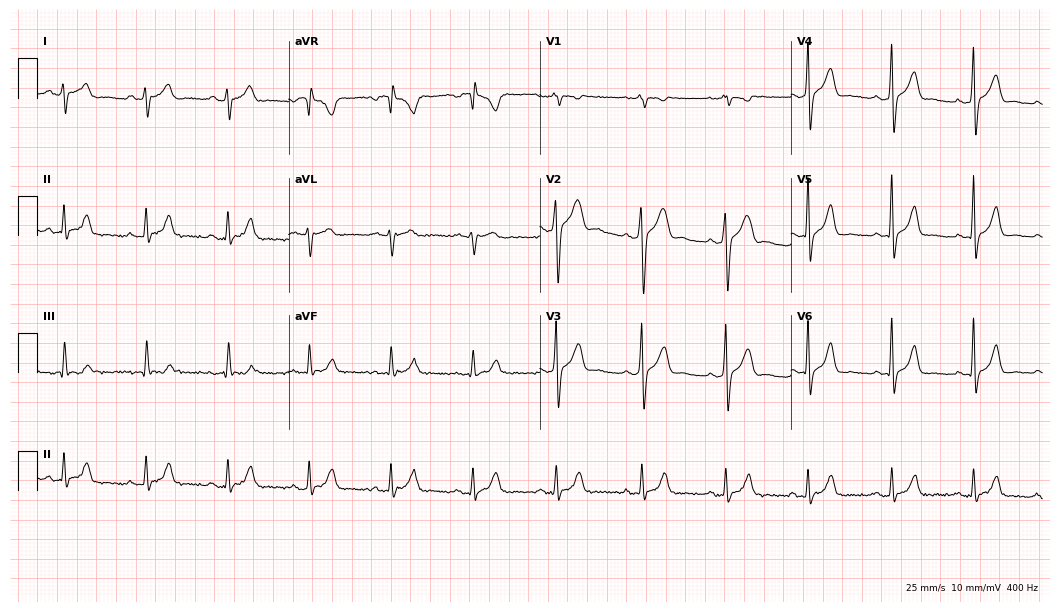
ECG (10.2-second recording at 400 Hz) — a male, 25 years old. Labelled as a normal ECG.